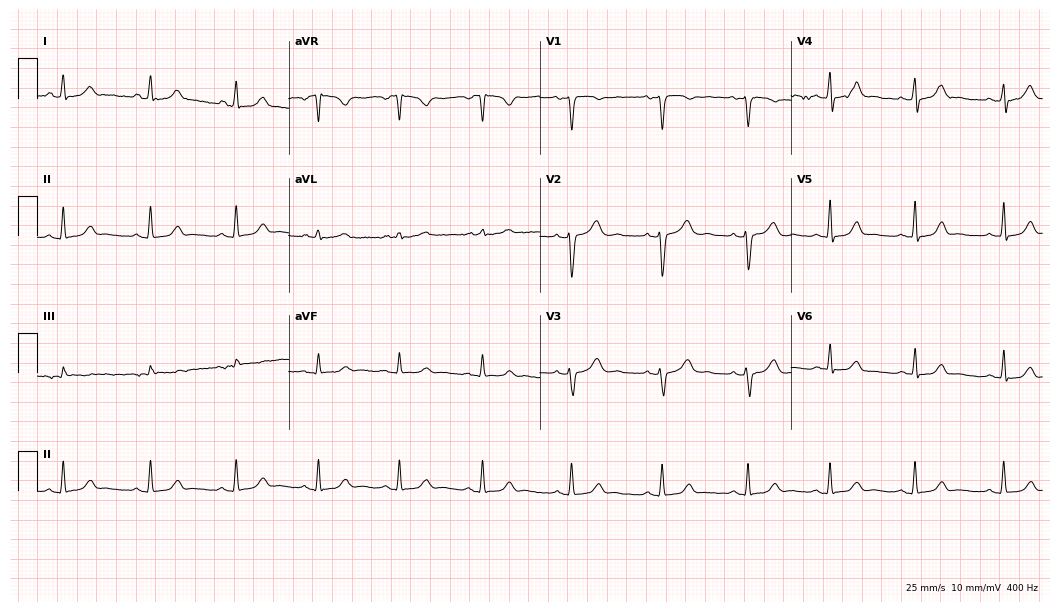
12-lead ECG from a female, 34 years old. Labelled as a normal ECG.